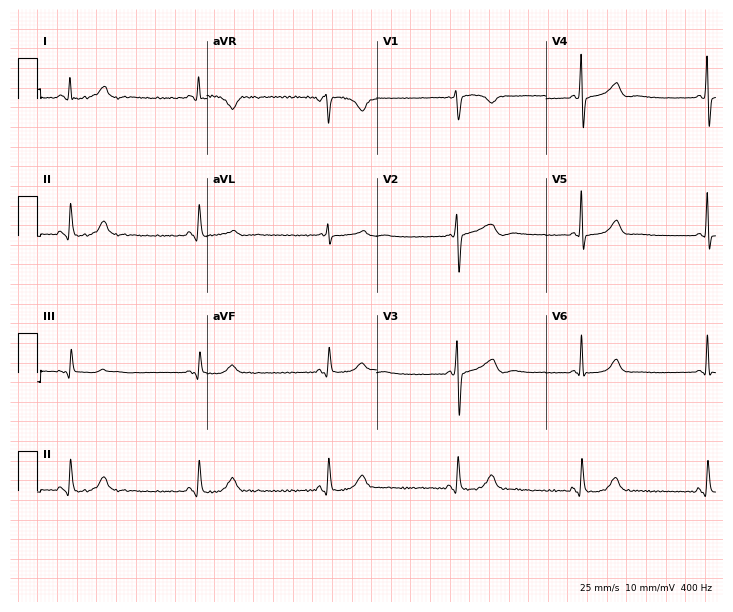
12-lead ECG from a 47-year-old female patient (6.9-second recording at 400 Hz). Recorded interpretation: within normal limits.